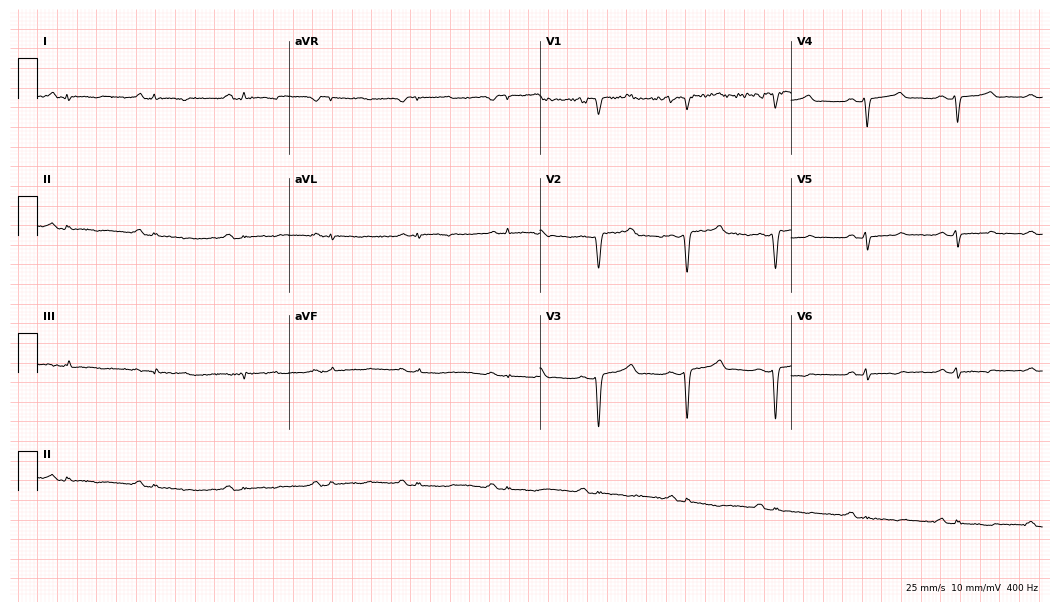
ECG (10.2-second recording at 400 Hz) — a 63-year-old woman. Screened for six findings — first-degree AV block, right bundle branch block, left bundle branch block, sinus bradycardia, atrial fibrillation, sinus tachycardia — none is recorded.